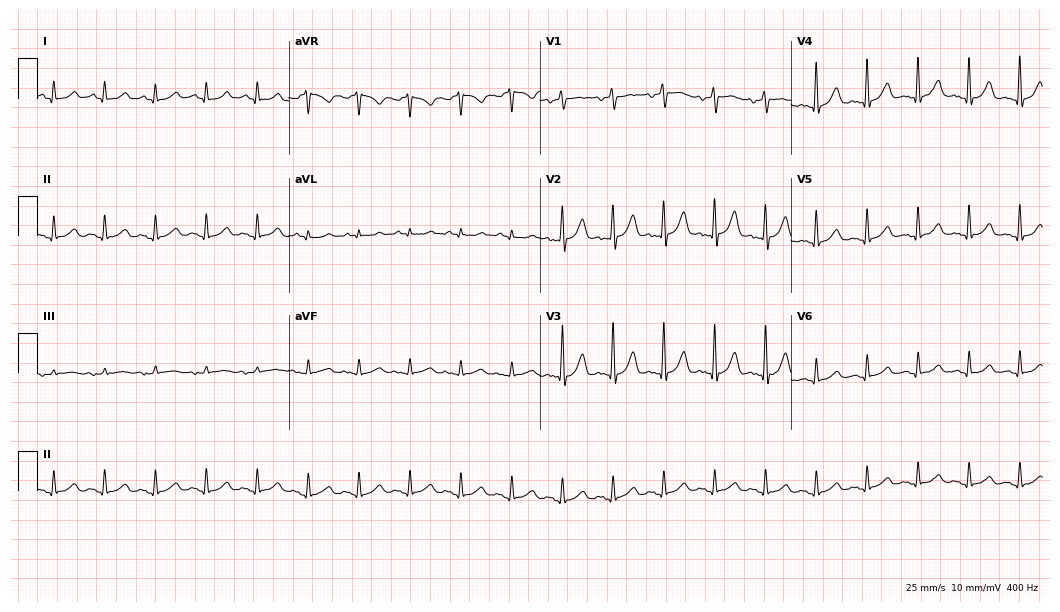
Resting 12-lead electrocardiogram. Patient: a 69-year-old woman. The tracing shows sinus tachycardia (a sinus rate of 100 beats per minute or more).